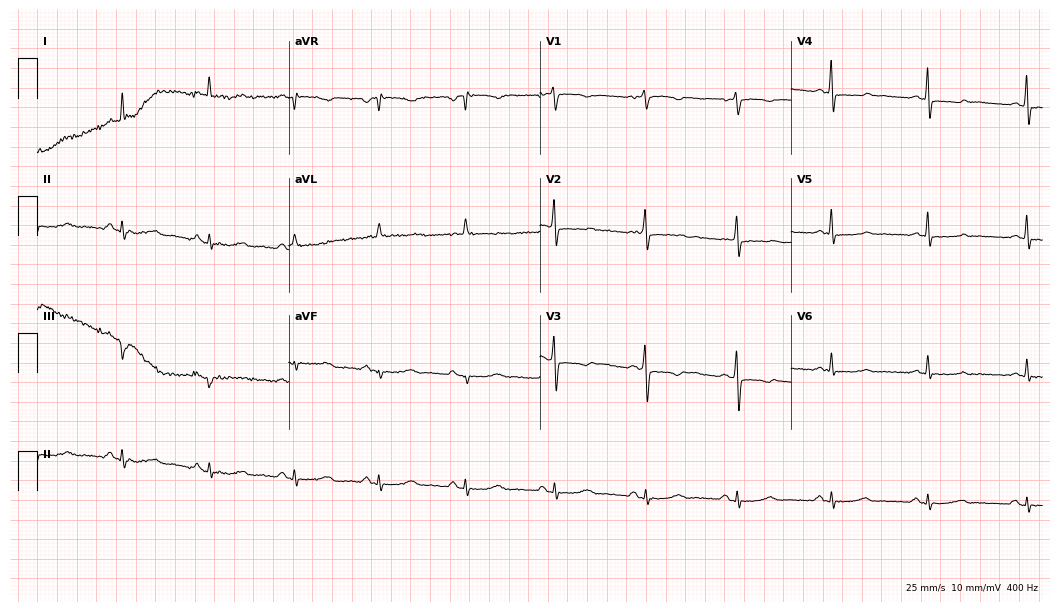
ECG (10.2-second recording at 400 Hz) — a 59-year-old female. Screened for six findings — first-degree AV block, right bundle branch block (RBBB), left bundle branch block (LBBB), sinus bradycardia, atrial fibrillation (AF), sinus tachycardia — none is recorded.